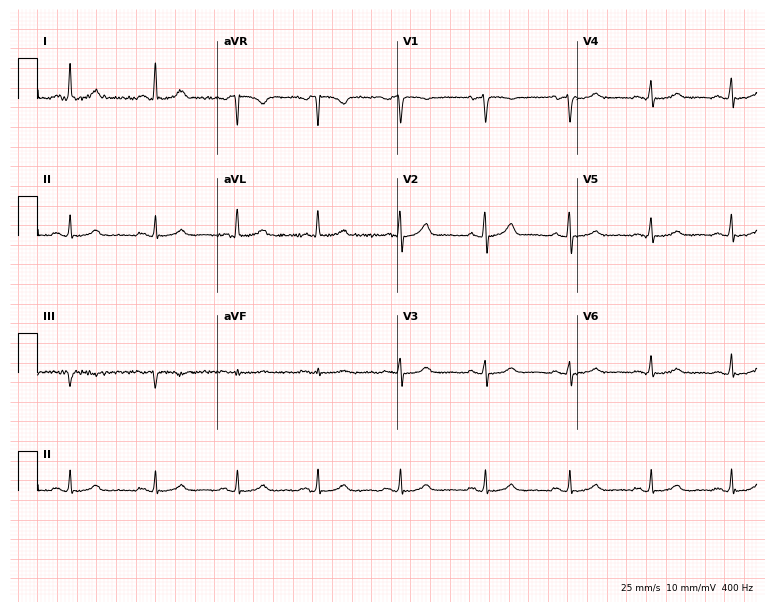
ECG (7.3-second recording at 400 Hz) — a 55-year-old female. Labelled as a normal ECG.